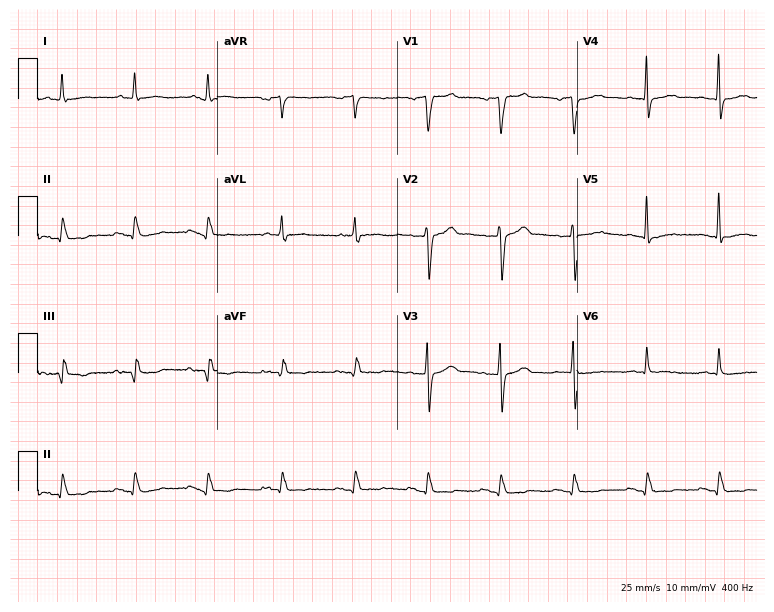
Electrocardiogram (7.3-second recording at 400 Hz), a male, 80 years old. Of the six screened findings (first-degree AV block, right bundle branch block, left bundle branch block, sinus bradycardia, atrial fibrillation, sinus tachycardia), none is recorded. Findings outside these six are not listed.